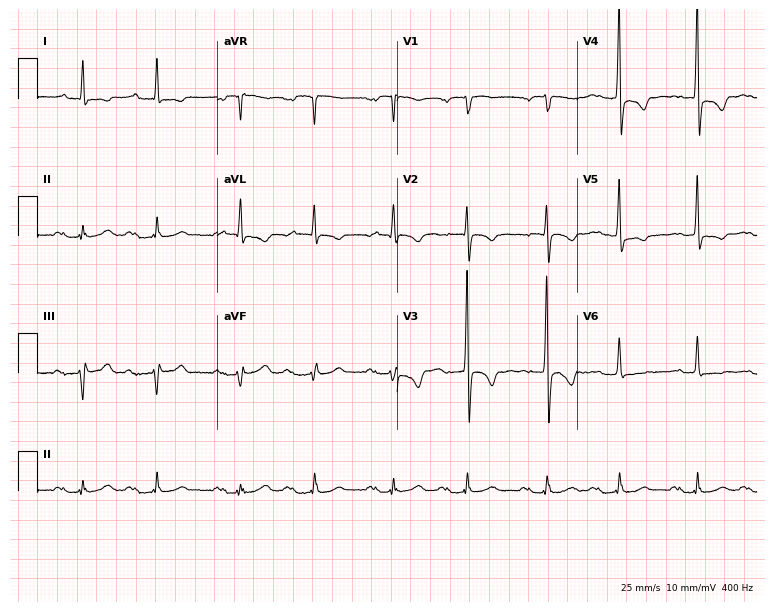
Standard 12-lead ECG recorded from a man, 85 years old (7.3-second recording at 400 Hz). The tracing shows first-degree AV block.